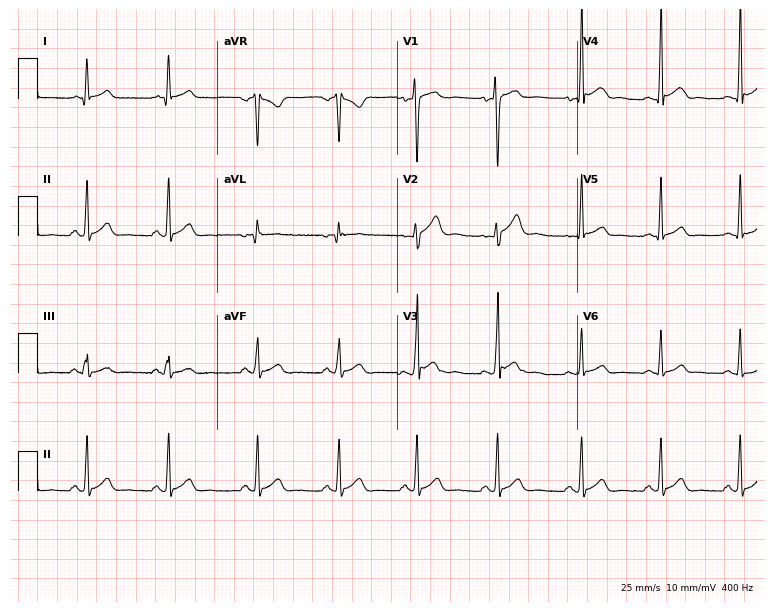
12-lead ECG (7.3-second recording at 400 Hz) from a 22-year-old male. Labelled as a normal ECG.